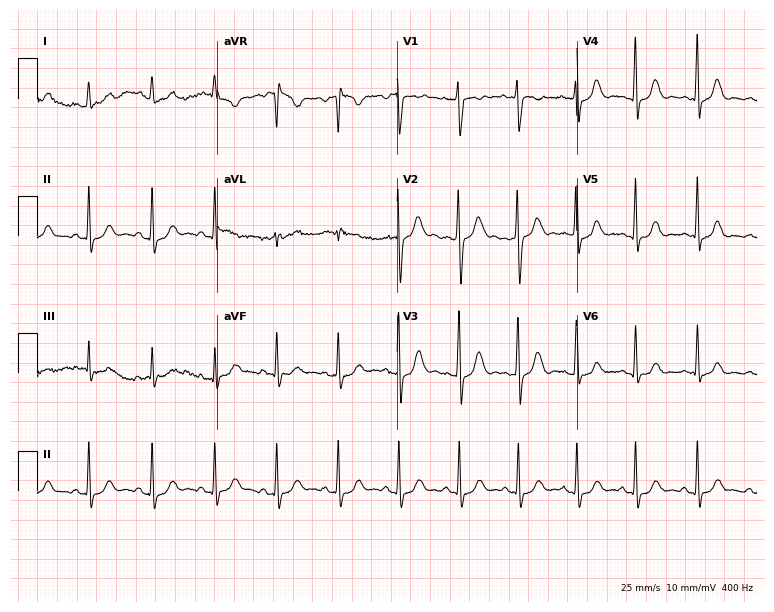
12-lead ECG from a female patient, 30 years old. Recorded interpretation: within normal limits.